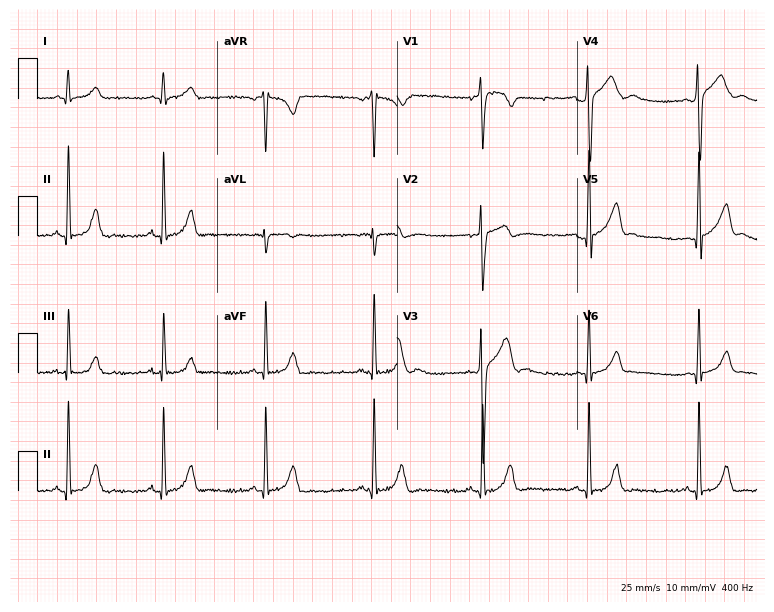
Electrocardiogram (7.3-second recording at 400 Hz), a 22-year-old man. Overall reading on record: normal ECG.